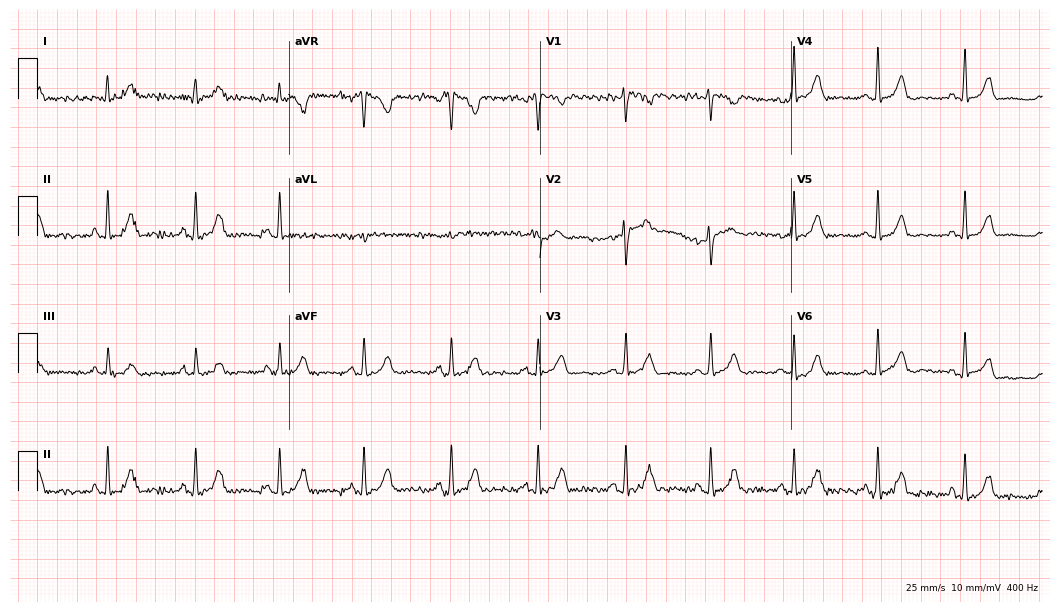
Electrocardiogram (10.2-second recording at 400 Hz), a 28-year-old female patient. Overall reading on record: normal ECG.